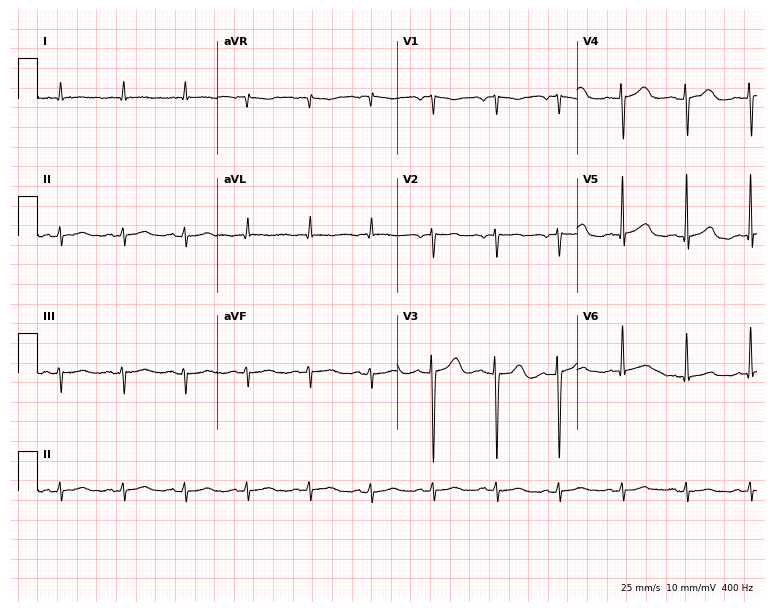
12-lead ECG from a 58-year-old woman. Screened for six findings — first-degree AV block, right bundle branch block (RBBB), left bundle branch block (LBBB), sinus bradycardia, atrial fibrillation (AF), sinus tachycardia — none is recorded. Only these six findings were labelled.